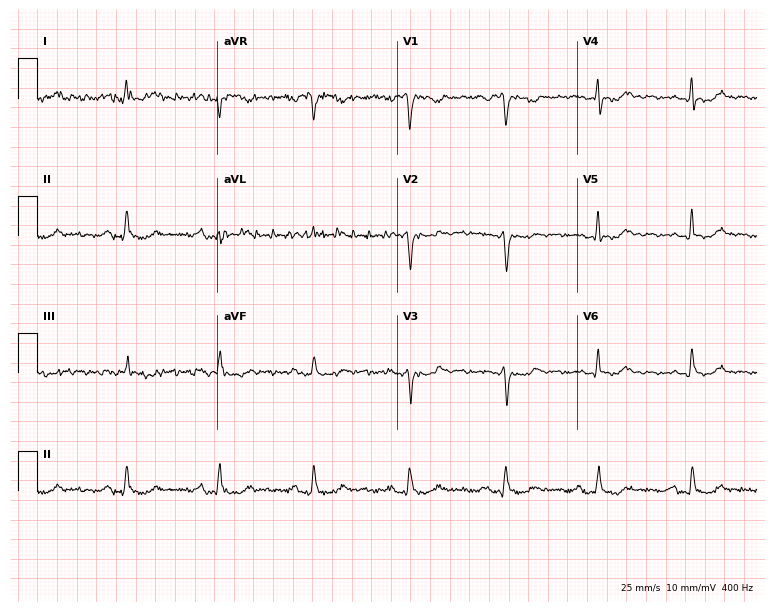
Standard 12-lead ECG recorded from a 60-year-old woman (7.3-second recording at 400 Hz). None of these six findings is recorded: first-degree AV block, right bundle branch block, left bundle branch block, sinus bradycardia, atrial fibrillation, sinus tachycardia.